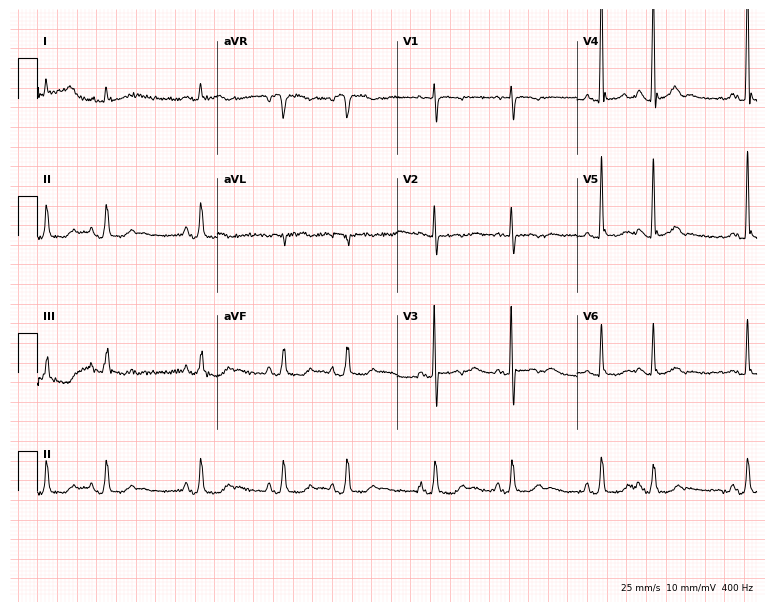
12-lead ECG from a male patient, 82 years old. Screened for six findings — first-degree AV block, right bundle branch block, left bundle branch block, sinus bradycardia, atrial fibrillation, sinus tachycardia — none is recorded.